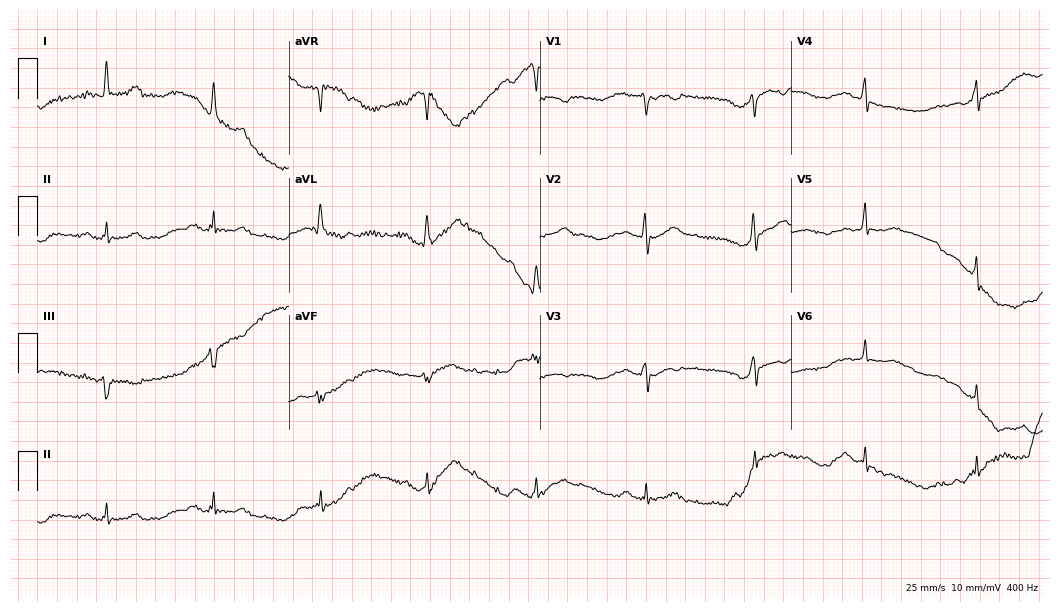
Resting 12-lead electrocardiogram. Patient: a woman, 55 years old. Read as a normal ECG.